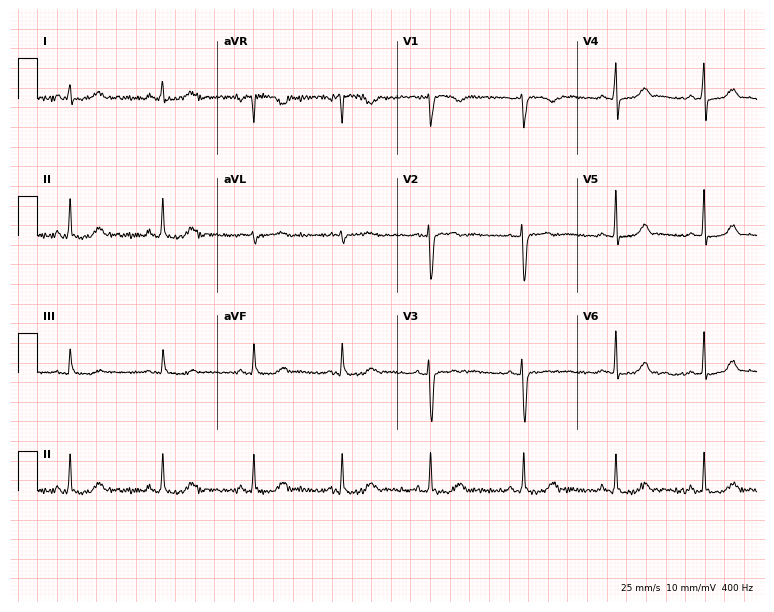
Standard 12-lead ECG recorded from a female patient, 26 years old (7.3-second recording at 400 Hz). Read as a normal ECG.